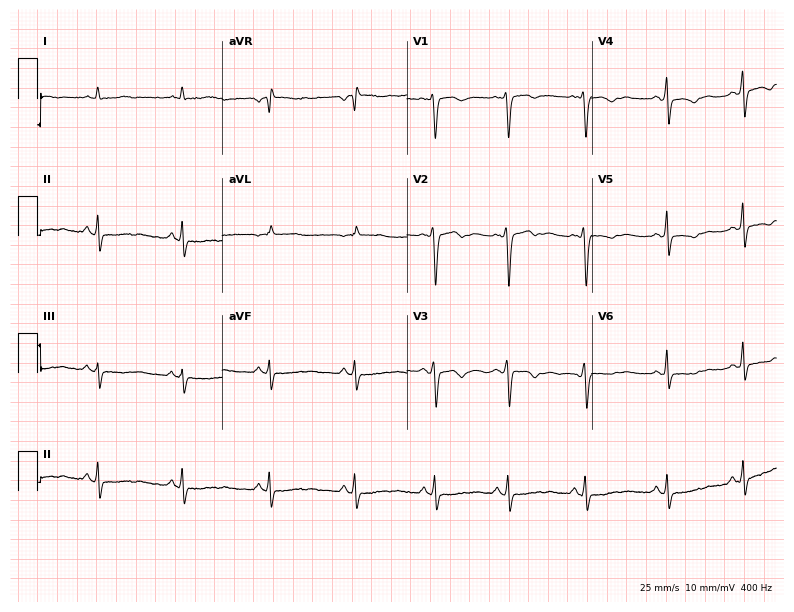
12-lead ECG from a 26-year-old female (7.5-second recording at 400 Hz). No first-degree AV block, right bundle branch block, left bundle branch block, sinus bradycardia, atrial fibrillation or sinus tachycardia recorded for this tracing.